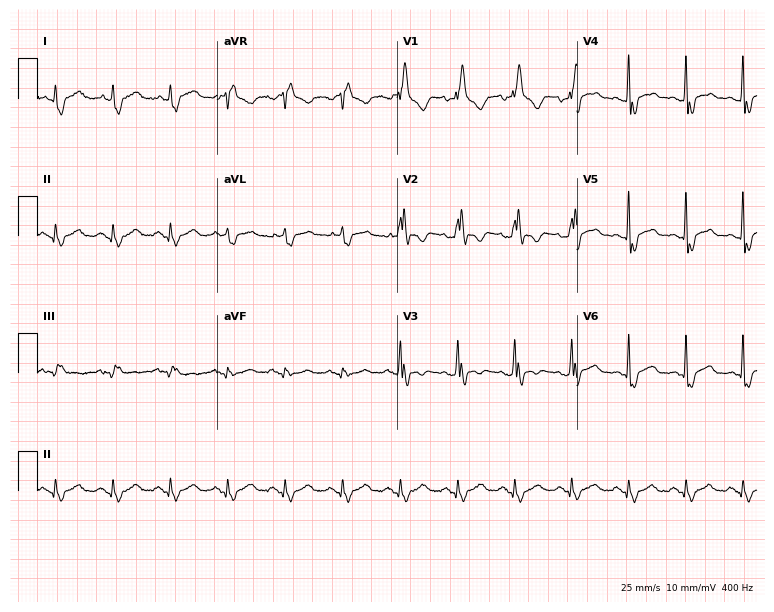
ECG (7.3-second recording at 400 Hz) — a male, 66 years old. Findings include right bundle branch block, sinus tachycardia (a sinus rate of 100 beats per minute or more).